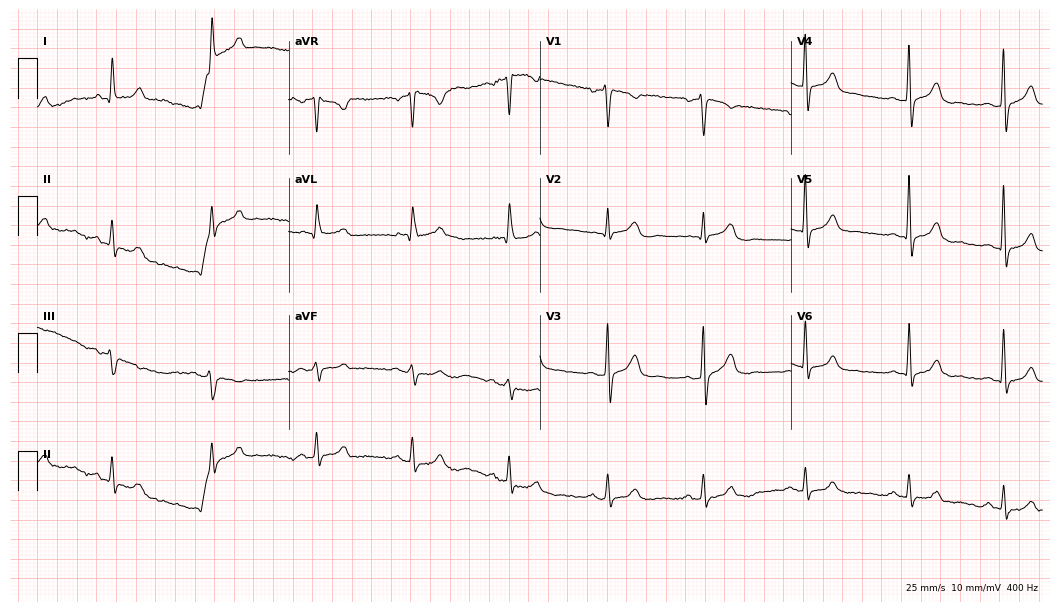
Standard 12-lead ECG recorded from a male patient, 39 years old. None of these six findings is recorded: first-degree AV block, right bundle branch block, left bundle branch block, sinus bradycardia, atrial fibrillation, sinus tachycardia. Other findings, if any, are not listed.